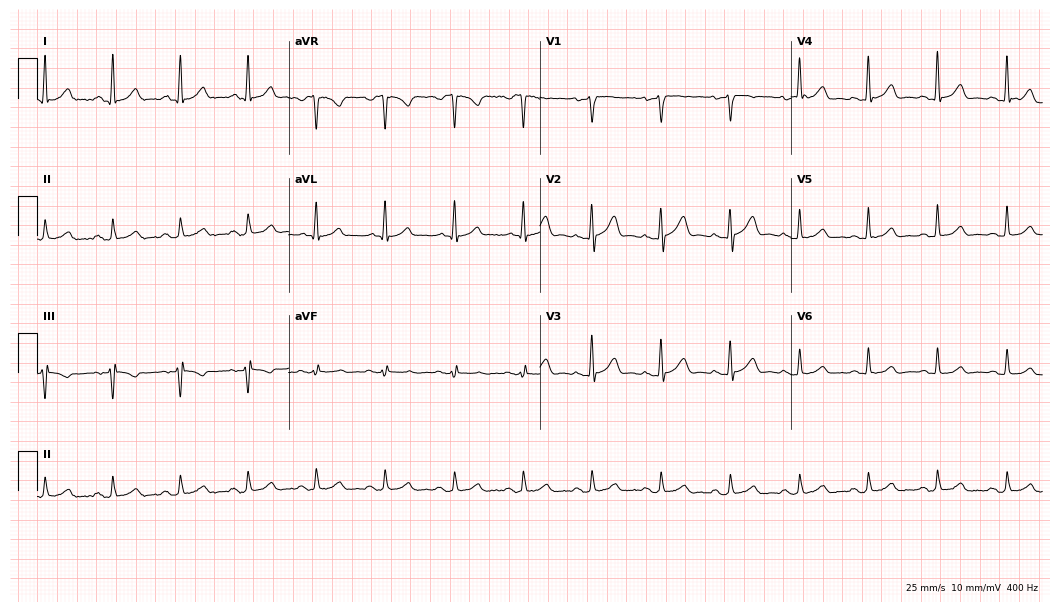
ECG (10.2-second recording at 400 Hz) — a man, 51 years old. Labelled as a normal ECG.